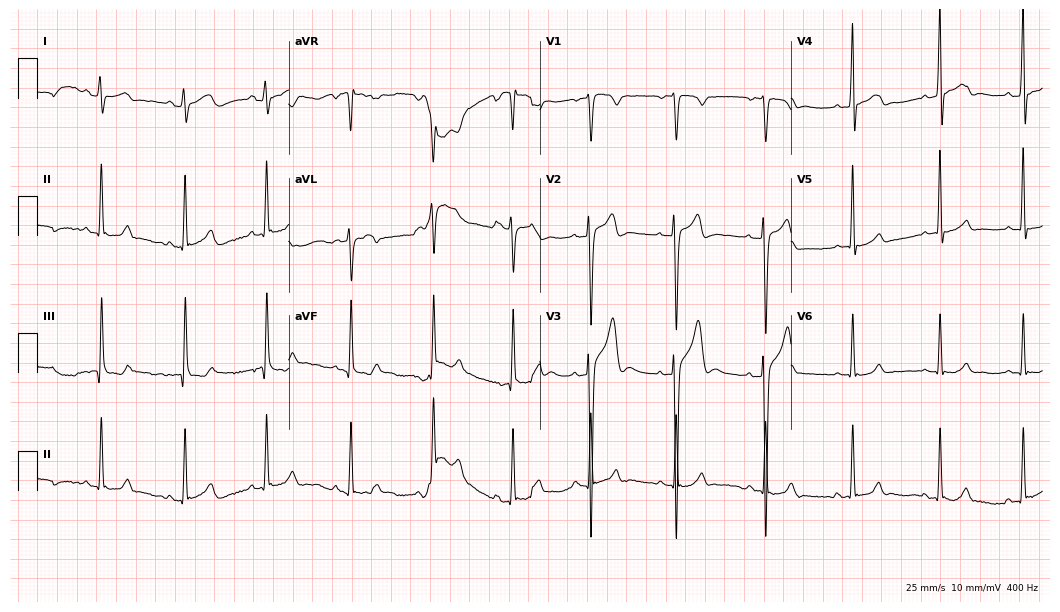
ECG (10.2-second recording at 400 Hz) — a 24-year-old male. Labelled as a normal ECG.